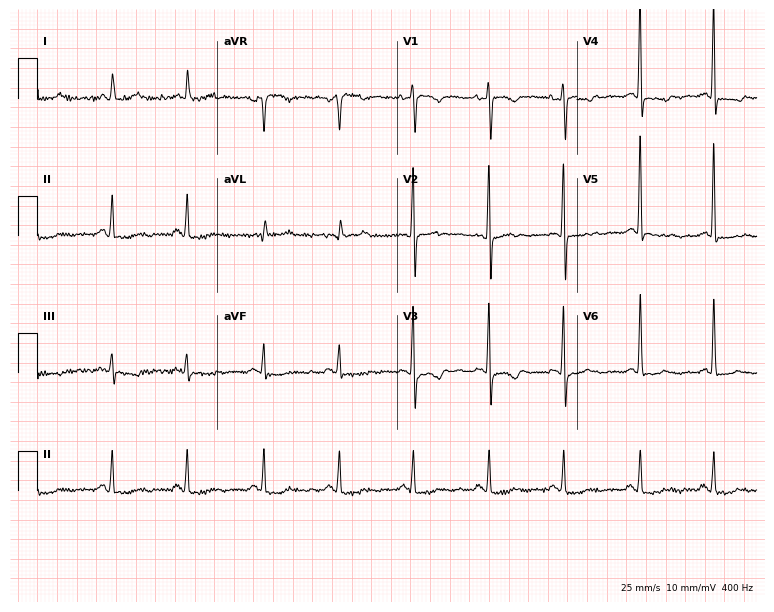
Electrocardiogram (7.3-second recording at 400 Hz), a female, 82 years old. Of the six screened findings (first-degree AV block, right bundle branch block, left bundle branch block, sinus bradycardia, atrial fibrillation, sinus tachycardia), none is recorded.